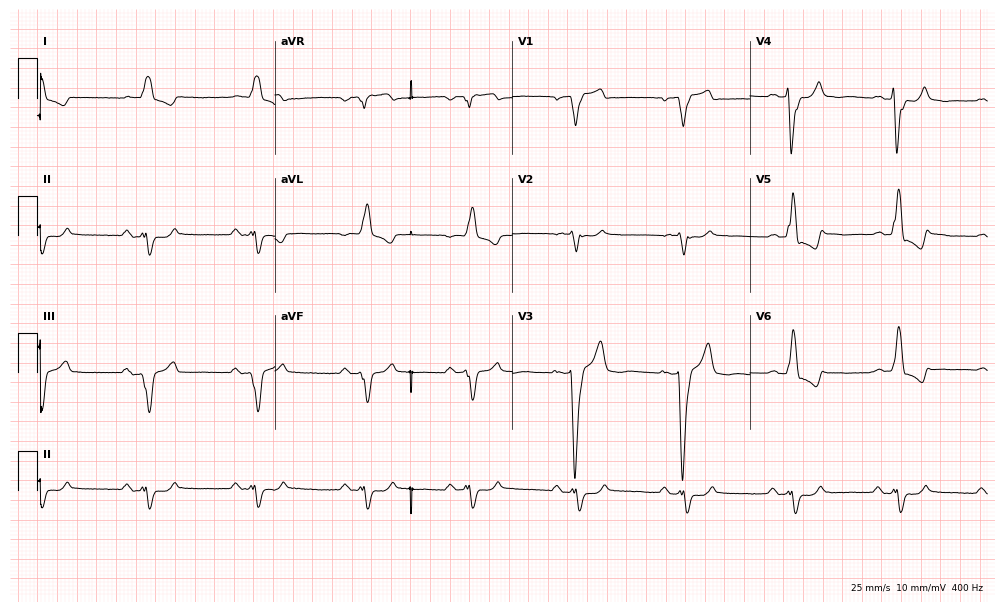
ECG (9.7-second recording at 400 Hz) — a 71-year-old male patient. Findings include left bundle branch block (LBBB).